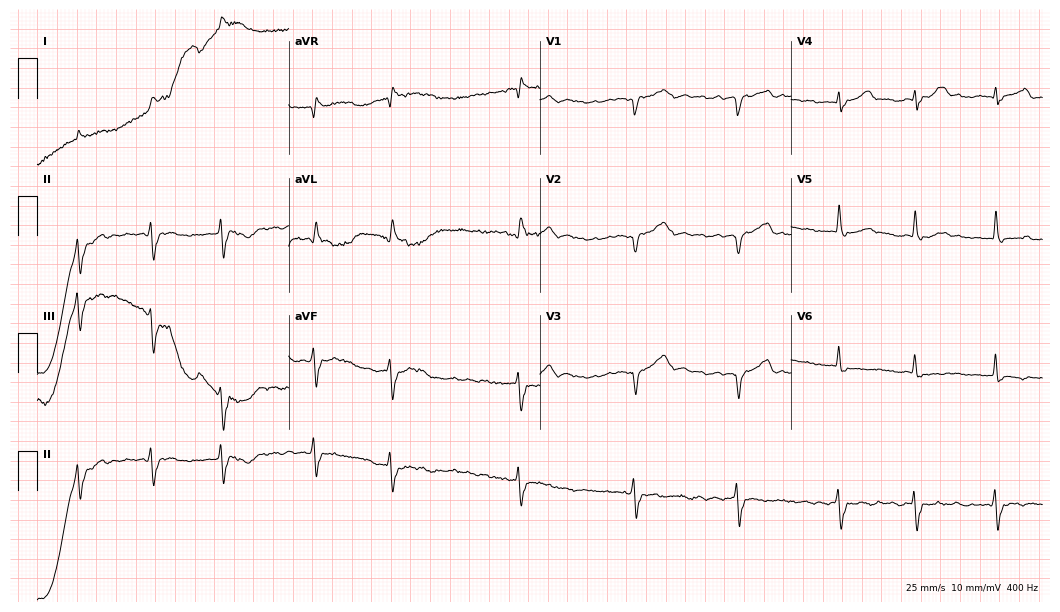
12-lead ECG (10.2-second recording at 400 Hz) from a 73-year-old male. Findings include atrial fibrillation.